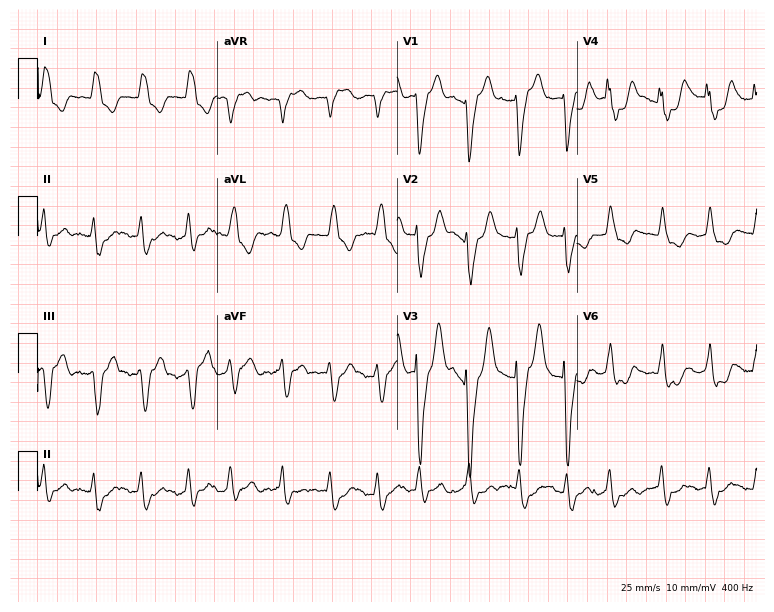
Resting 12-lead electrocardiogram. Patient: a female, 81 years old. The tracing shows left bundle branch block, atrial fibrillation.